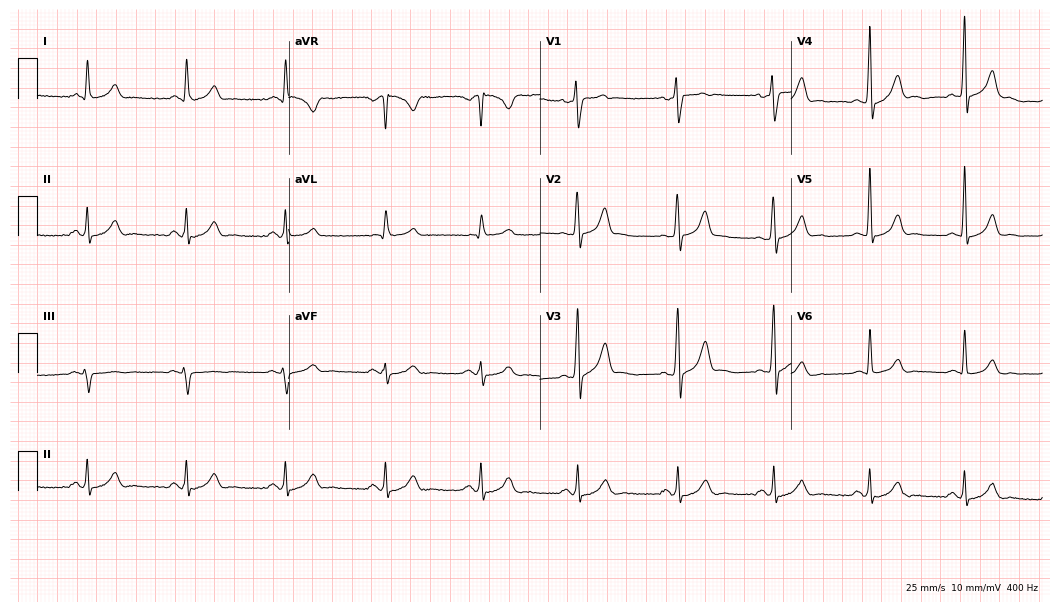
12-lead ECG from a man, 29 years old. Recorded interpretation: within normal limits.